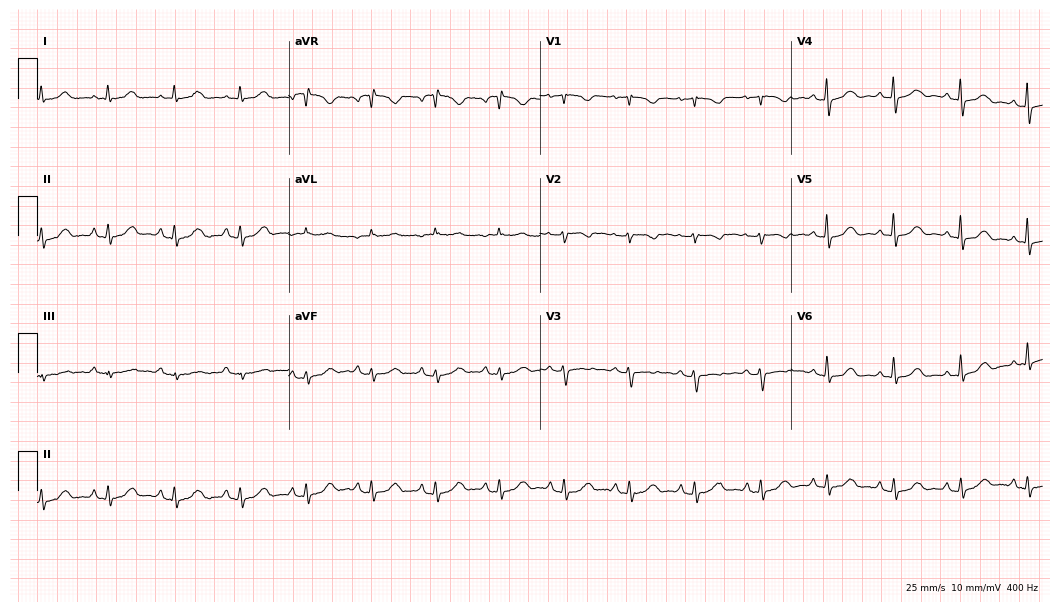
Electrocardiogram, a female patient, 70 years old. Of the six screened findings (first-degree AV block, right bundle branch block, left bundle branch block, sinus bradycardia, atrial fibrillation, sinus tachycardia), none is recorded.